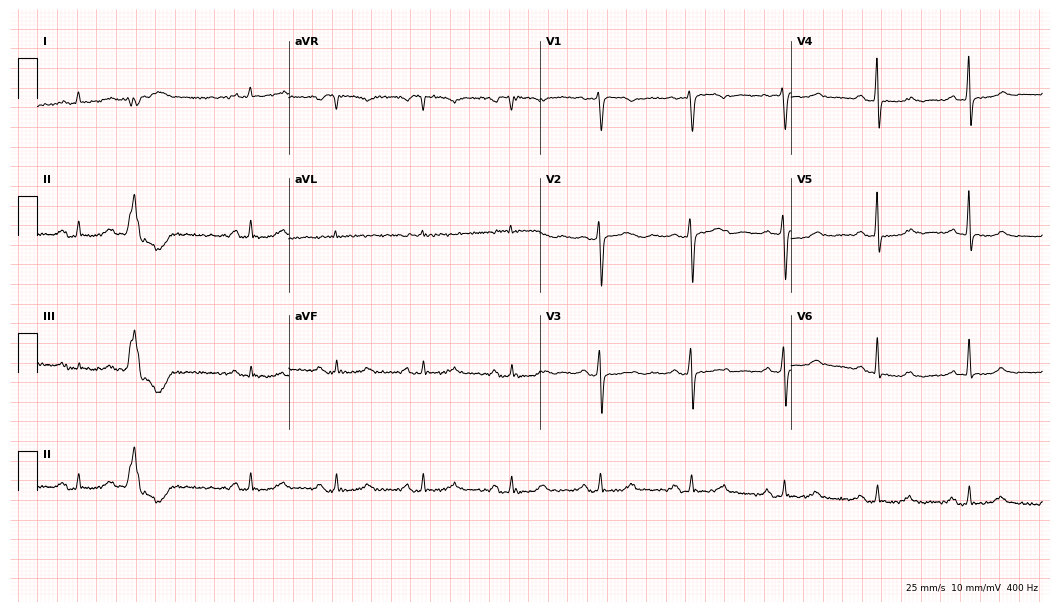
ECG — a woman, 77 years old. Screened for six findings — first-degree AV block, right bundle branch block (RBBB), left bundle branch block (LBBB), sinus bradycardia, atrial fibrillation (AF), sinus tachycardia — none is recorded. Findings outside these six are not listed.